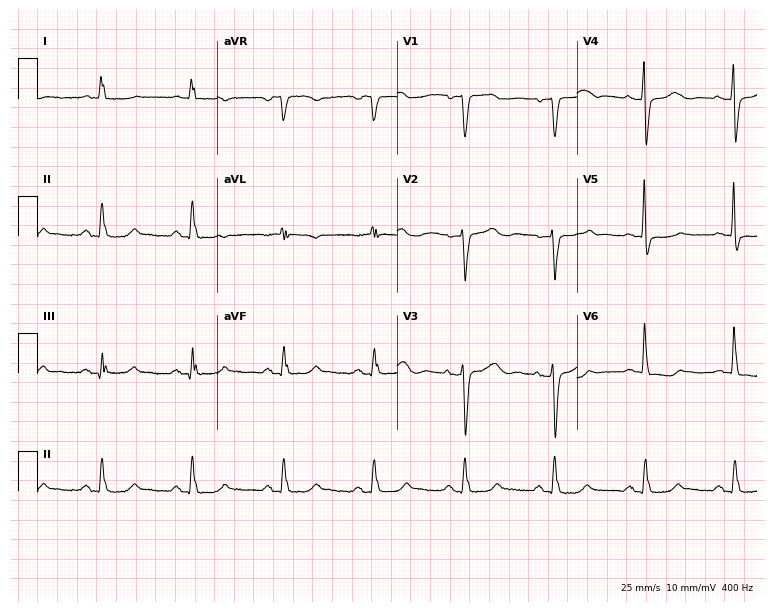
ECG — a 64-year-old woman. Screened for six findings — first-degree AV block, right bundle branch block (RBBB), left bundle branch block (LBBB), sinus bradycardia, atrial fibrillation (AF), sinus tachycardia — none is recorded.